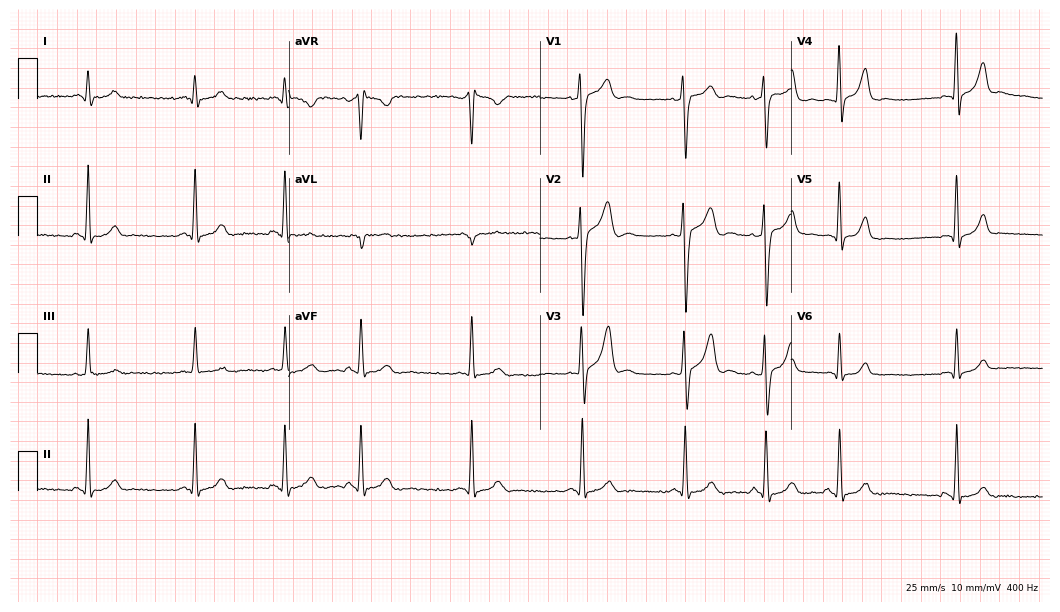
Electrocardiogram, a 22-year-old male. Of the six screened findings (first-degree AV block, right bundle branch block, left bundle branch block, sinus bradycardia, atrial fibrillation, sinus tachycardia), none is recorded.